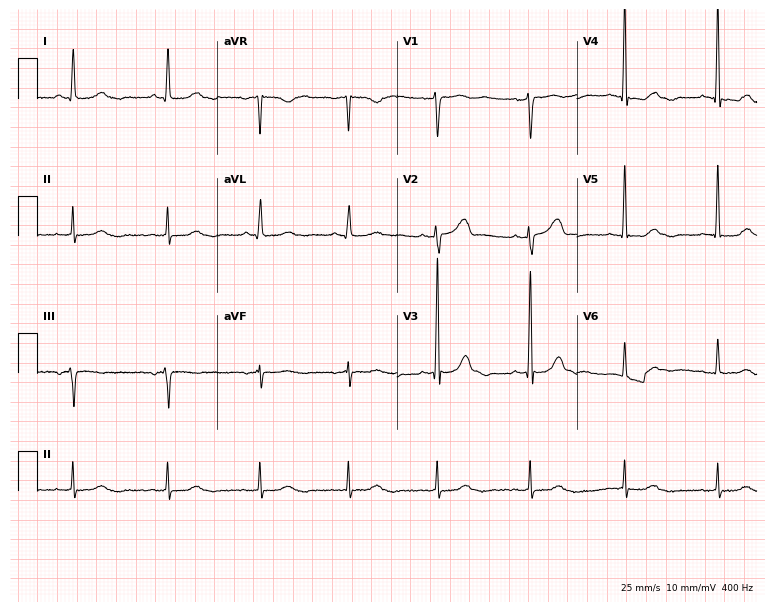
ECG (7.3-second recording at 400 Hz) — a female patient, 42 years old. Labelled as a normal ECG.